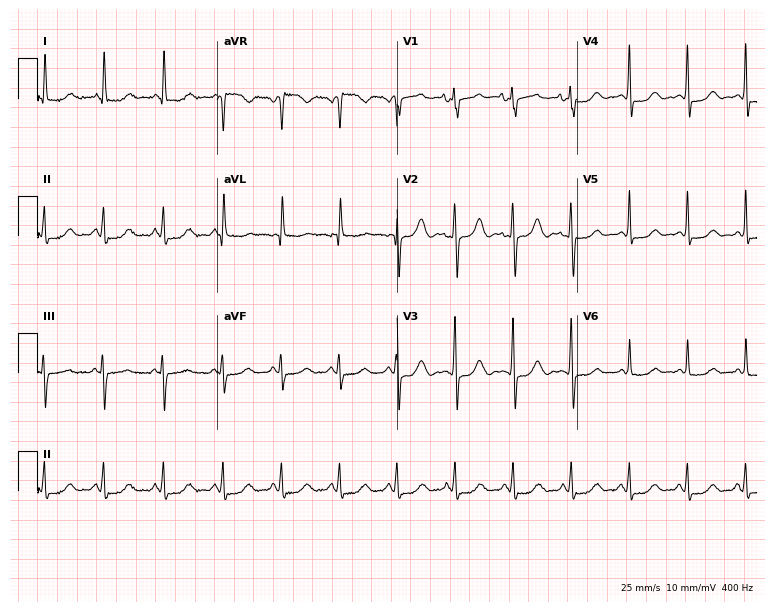
Resting 12-lead electrocardiogram. Patient: a 42-year-old female. The tracing shows sinus tachycardia (a sinus rate of 100 beats per minute or more).